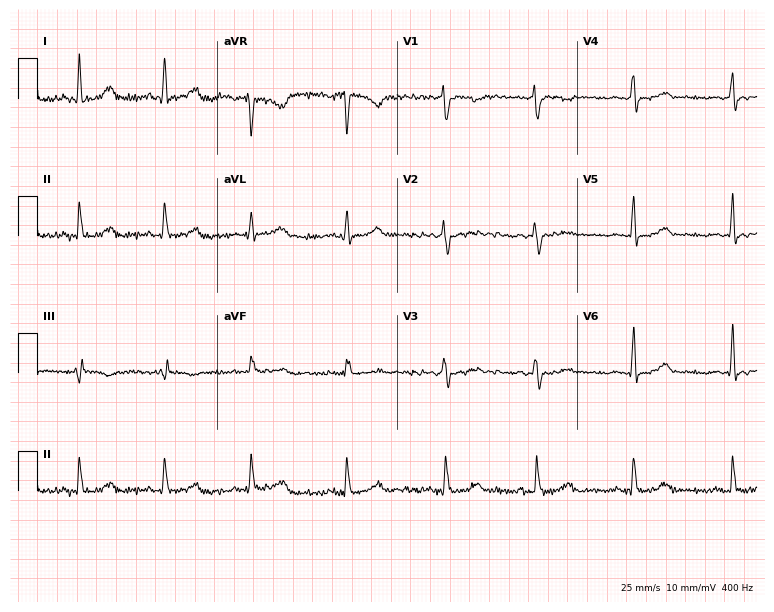
12-lead ECG (7.3-second recording at 400 Hz) from a woman, 36 years old. Screened for six findings — first-degree AV block, right bundle branch block, left bundle branch block, sinus bradycardia, atrial fibrillation, sinus tachycardia — none is recorded.